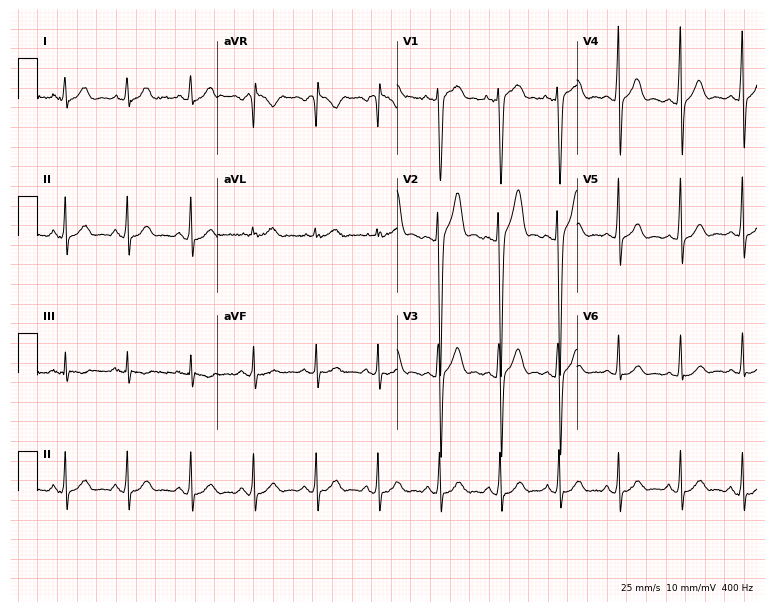
12-lead ECG from a male patient, 35 years old (7.3-second recording at 400 Hz). No first-degree AV block, right bundle branch block (RBBB), left bundle branch block (LBBB), sinus bradycardia, atrial fibrillation (AF) or sinus tachycardia recorded for this tracing. Only these six findings were labelled.